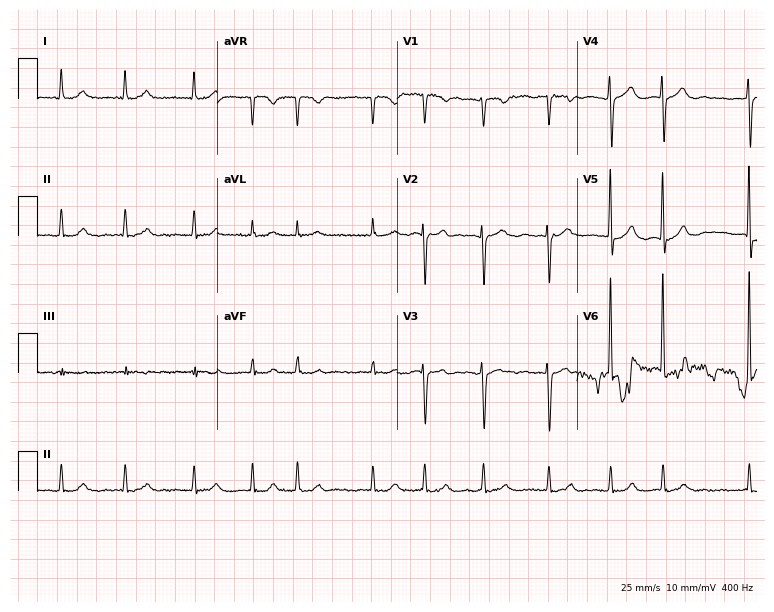
Electrocardiogram, a 68-year-old female. Interpretation includes atrial fibrillation (AF).